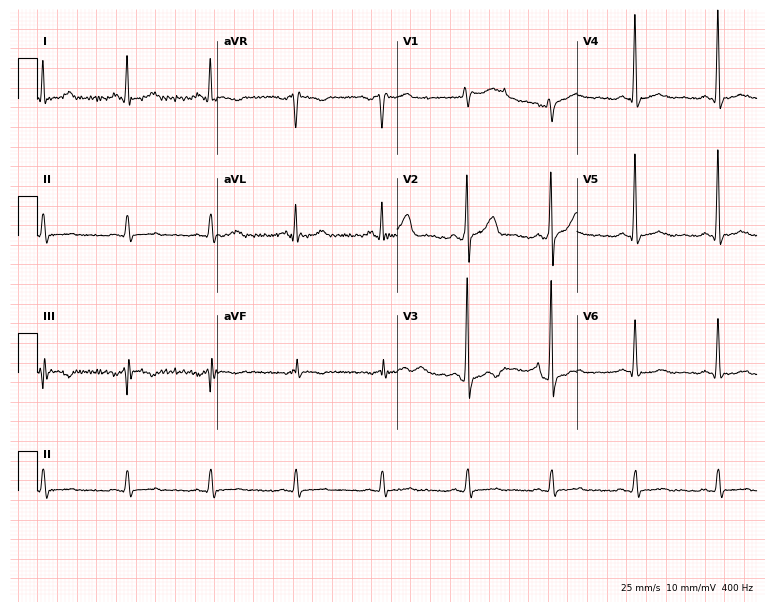
Standard 12-lead ECG recorded from a 33-year-old man. None of these six findings is recorded: first-degree AV block, right bundle branch block, left bundle branch block, sinus bradycardia, atrial fibrillation, sinus tachycardia. Only these six findings were labelled.